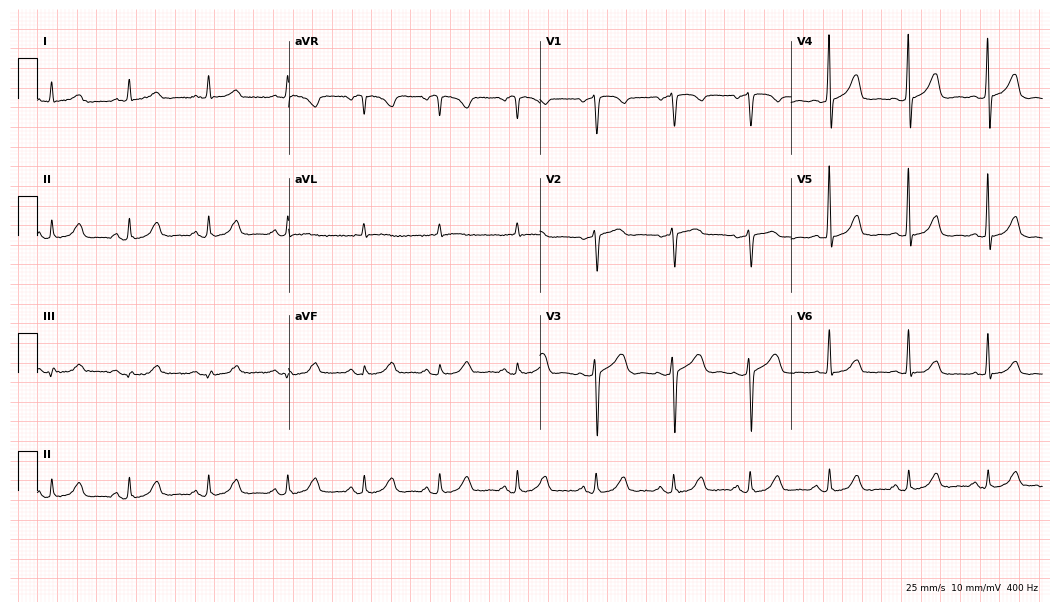
Electrocardiogram (10.2-second recording at 400 Hz), a female, 74 years old. Overall reading on record: normal ECG.